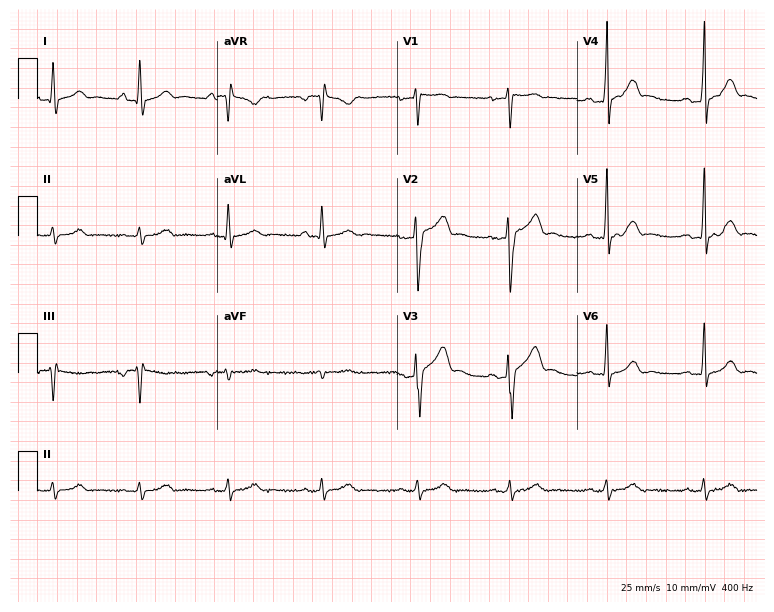
Standard 12-lead ECG recorded from a man, 26 years old (7.3-second recording at 400 Hz). Read as a normal ECG.